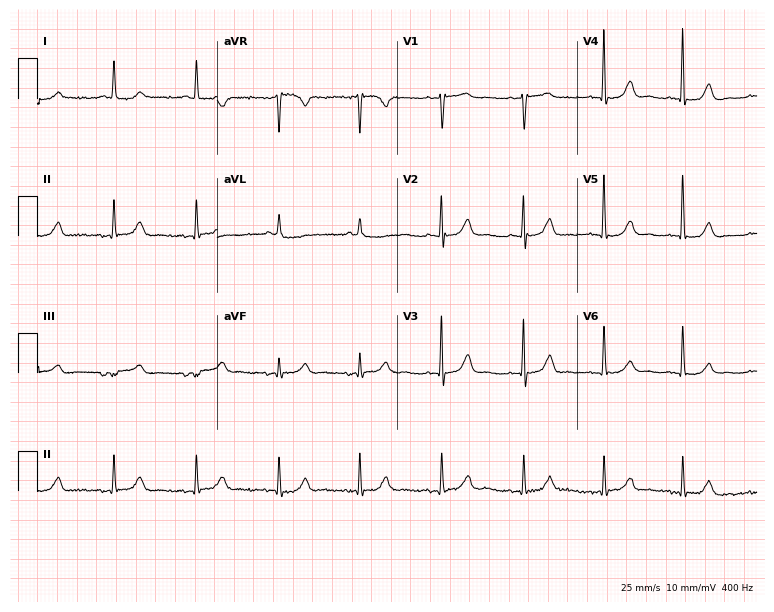
Standard 12-lead ECG recorded from a female, 70 years old (7.3-second recording at 400 Hz). Read as a normal ECG.